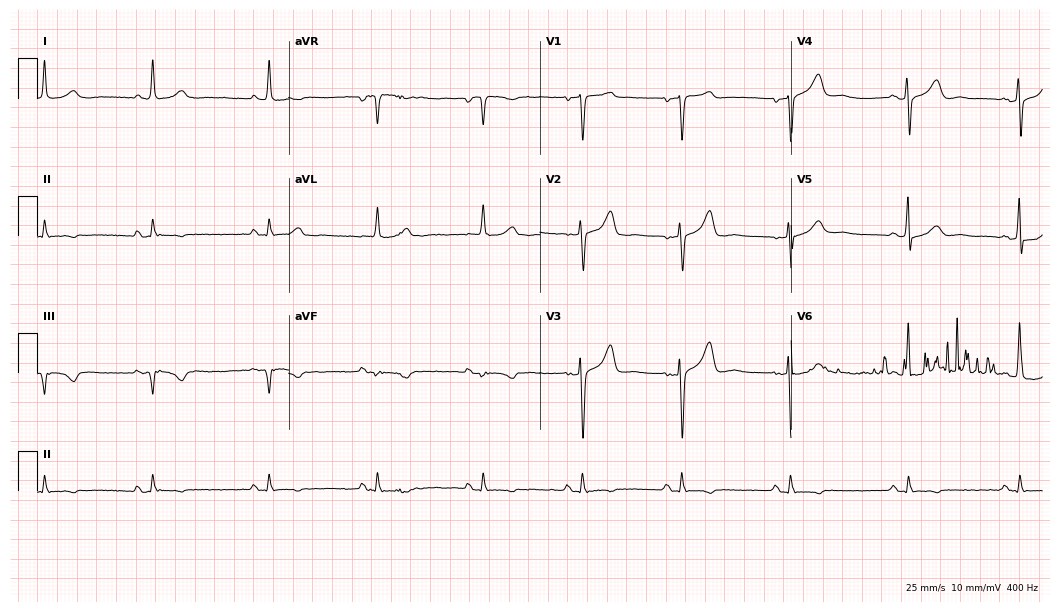
Resting 12-lead electrocardiogram. Patient: a man, 84 years old. None of these six findings is recorded: first-degree AV block, right bundle branch block, left bundle branch block, sinus bradycardia, atrial fibrillation, sinus tachycardia. Only these six findings were labelled.